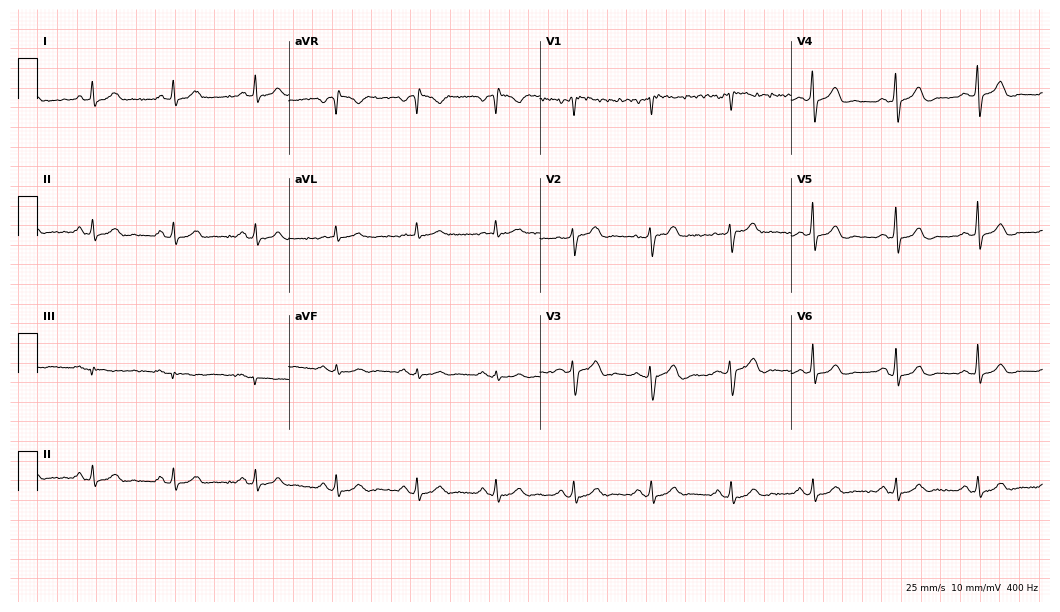
12-lead ECG from a male patient, 57 years old (10.2-second recording at 400 Hz). Recorded interpretation: within normal limits.